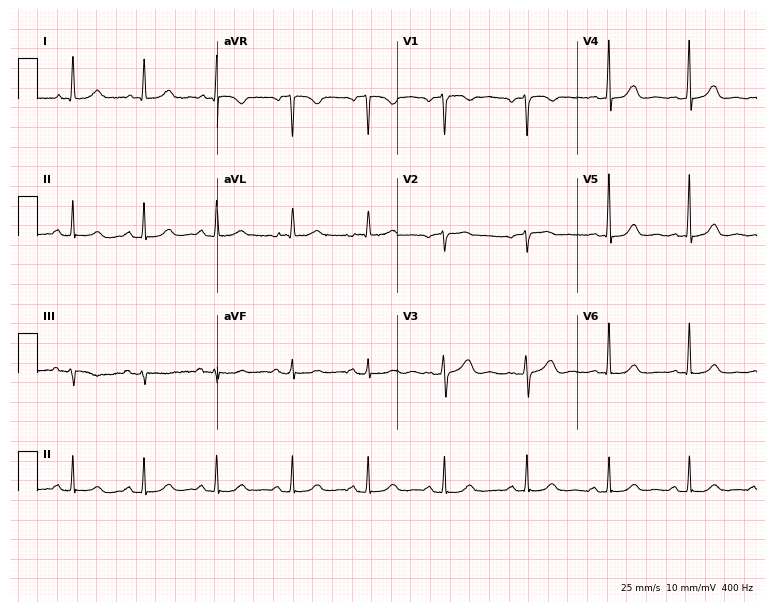
12-lead ECG from a female, 40 years old. Labelled as a normal ECG.